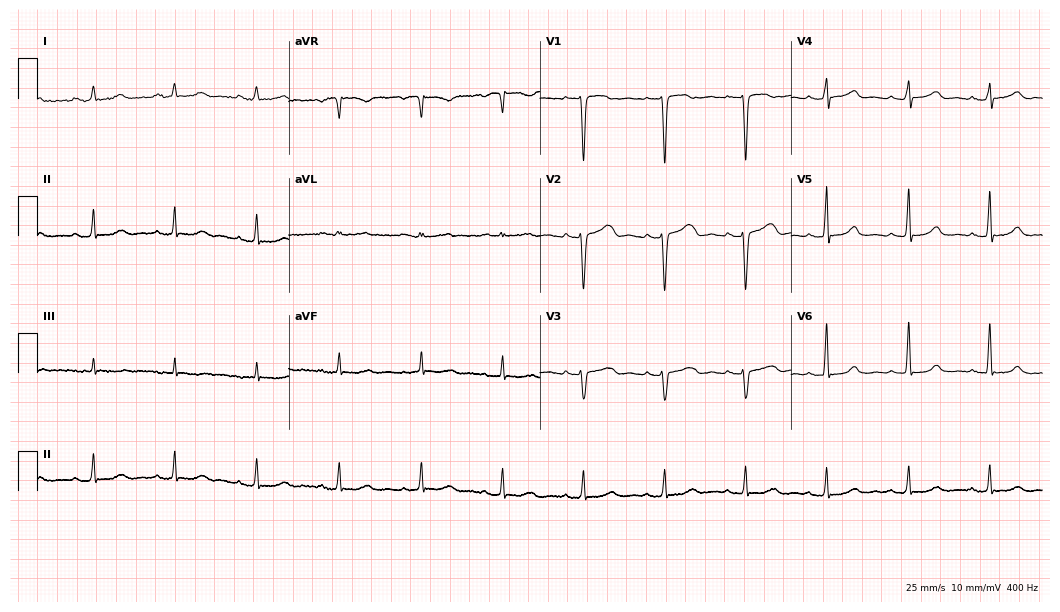
Standard 12-lead ECG recorded from a 47-year-old woman (10.2-second recording at 400 Hz). Read as a normal ECG.